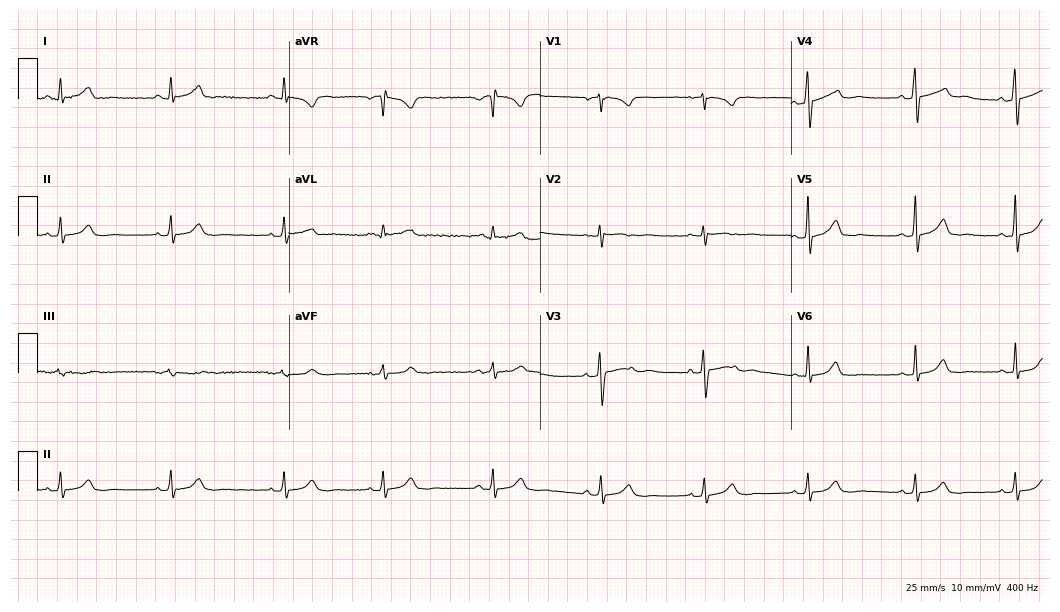
12-lead ECG (10.2-second recording at 400 Hz) from a female patient, 40 years old. Labelled as a normal ECG.